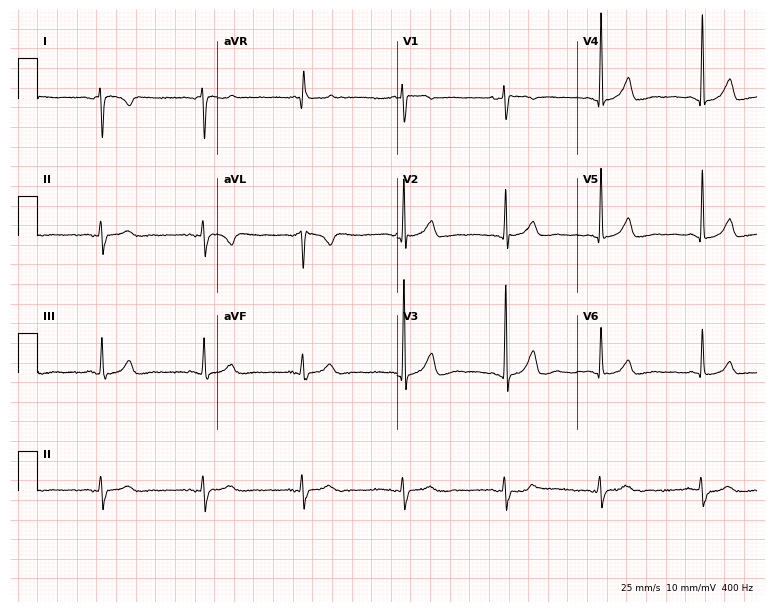
12-lead ECG from a female patient, 69 years old. No first-degree AV block, right bundle branch block, left bundle branch block, sinus bradycardia, atrial fibrillation or sinus tachycardia recorded for this tracing. Findings outside these six are not listed.